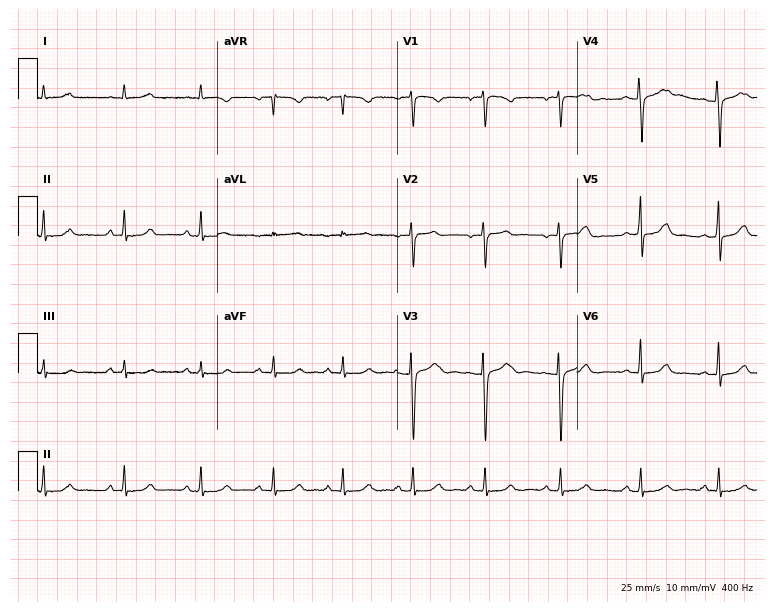
Electrocardiogram, a 45-year-old female. Of the six screened findings (first-degree AV block, right bundle branch block, left bundle branch block, sinus bradycardia, atrial fibrillation, sinus tachycardia), none is recorded.